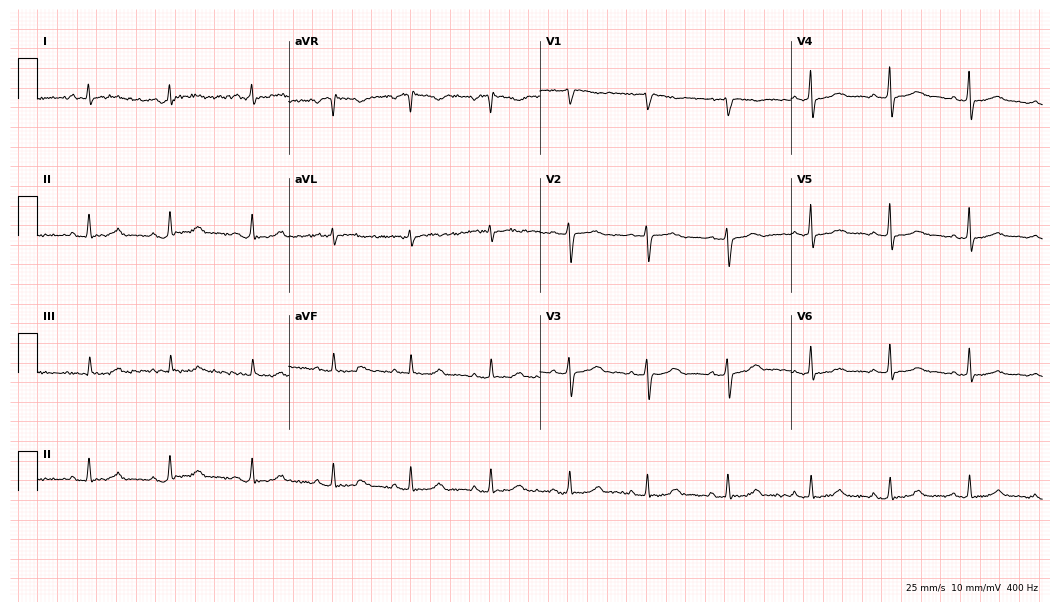
12-lead ECG from a 50-year-old woman. Labelled as a normal ECG.